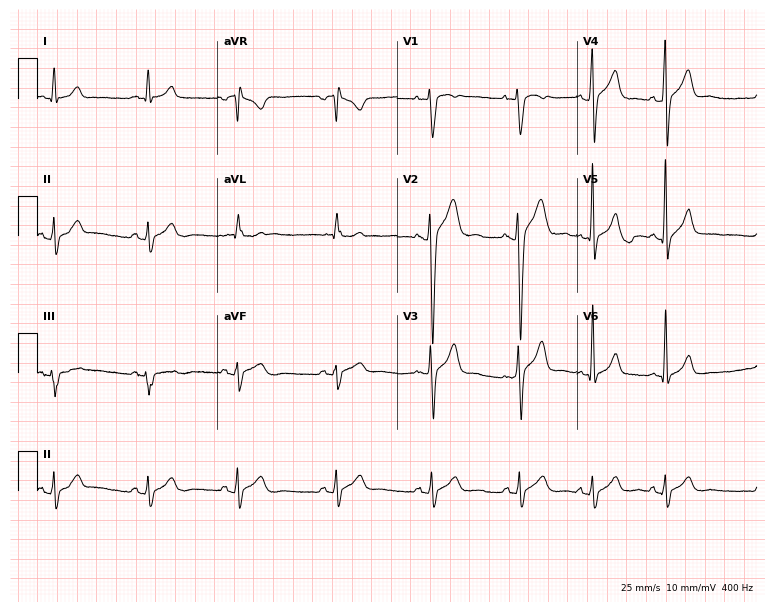
12-lead ECG from a 20-year-old male. Recorded interpretation: within normal limits.